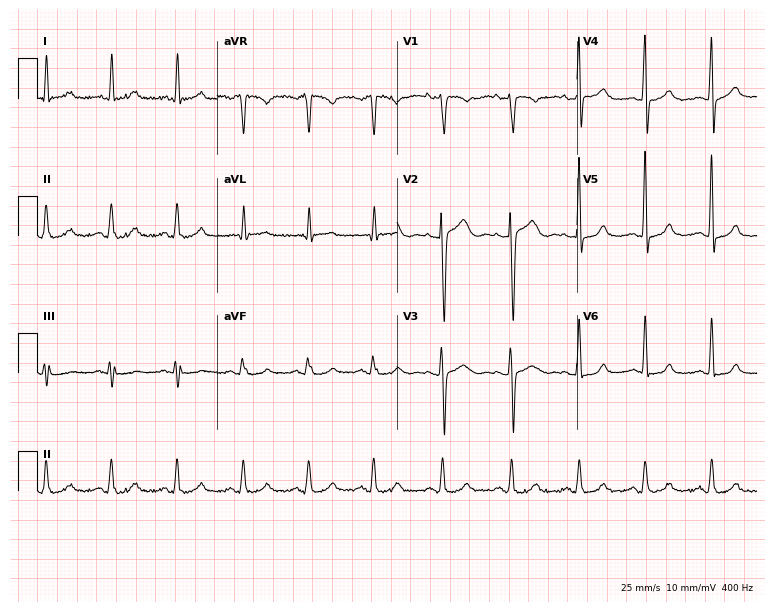
Standard 12-lead ECG recorded from a 35-year-old woman. None of these six findings is recorded: first-degree AV block, right bundle branch block (RBBB), left bundle branch block (LBBB), sinus bradycardia, atrial fibrillation (AF), sinus tachycardia. Findings outside these six are not listed.